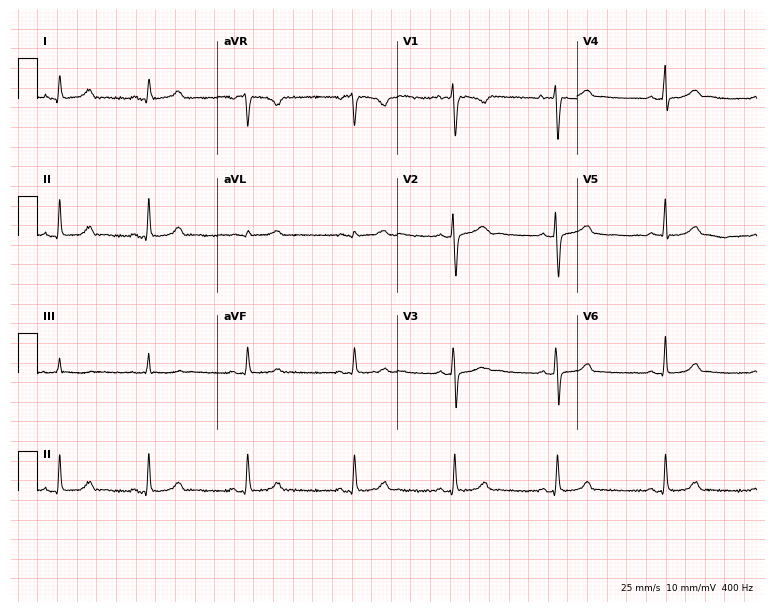
Standard 12-lead ECG recorded from a woman, 20 years old. Read as a normal ECG.